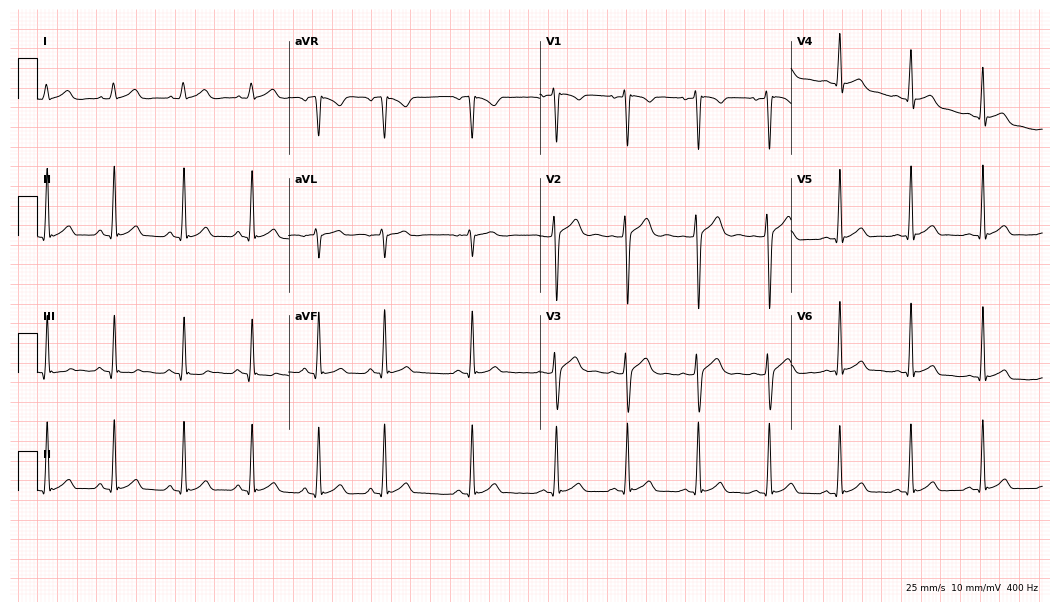
ECG (10.2-second recording at 400 Hz) — a male patient, 20 years old. Labelled as a normal ECG.